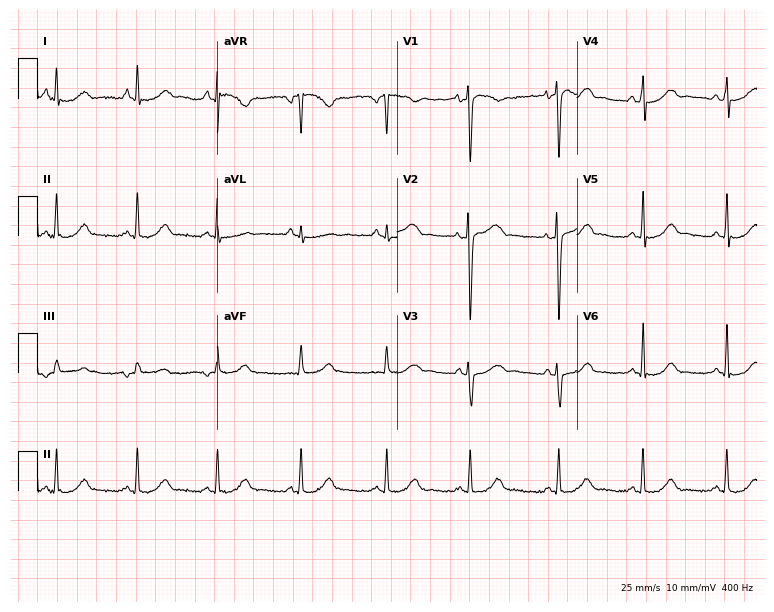
Electrocardiogram, a 32-year-old female patient. Overall reading on record: normal ECG.